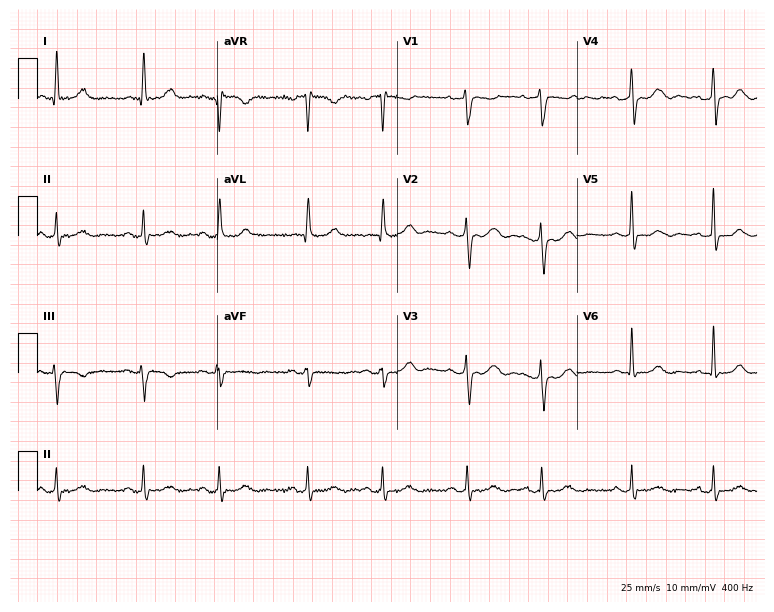
Electrocardiogram, a 69-year-old woman. Of the six screened findings (first-degree AV block, right bundle branch block, left bundle branch block, sinus bradycardia, atrial fibrillation, sinus tachycardia), none is recorded. Findings outside these six are not listed.